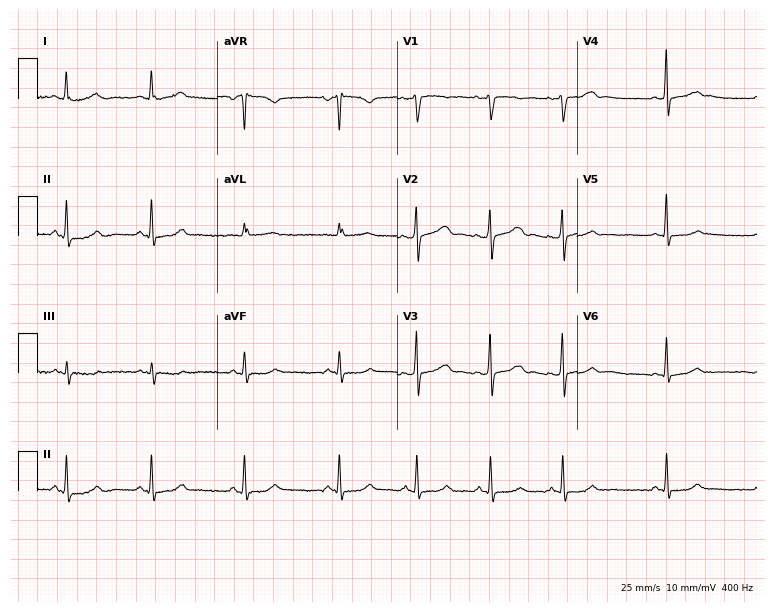
Standard 12-lead ECG recorded from a 33-year-old woman (7.3-second recording at 400 Hz). None of these six findings is recorded: first-degree AV block, right bundle branch block, left bundle branch block, sinus bradycardia, atrial fibrillation, sinus tachycardia. Only these six findings were labelled.